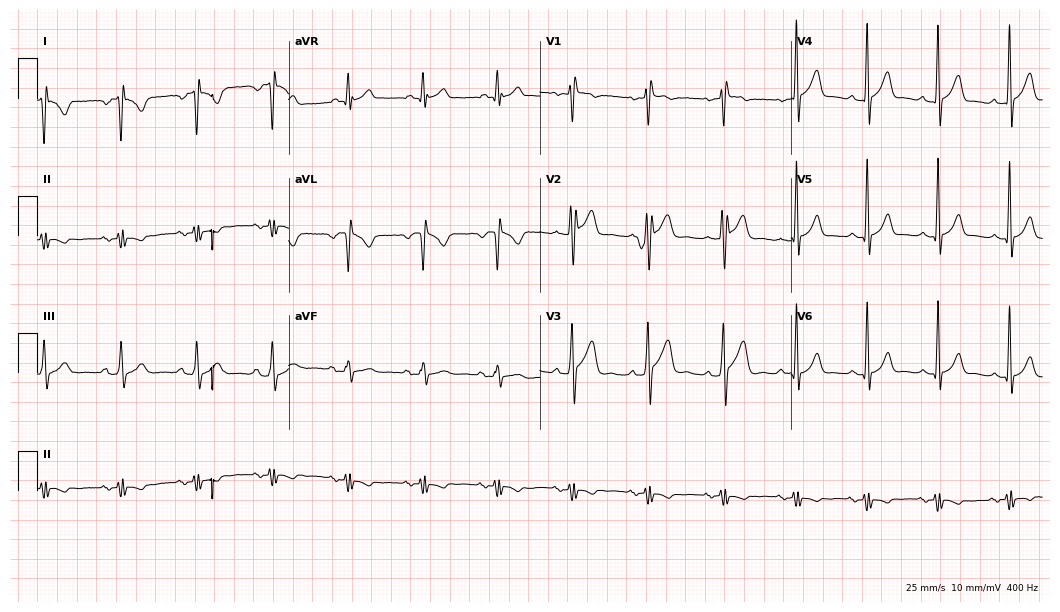
12-lead ECG from a male patient, 32 years old. No first-degree AV block, right bundle branch block, left bundle branch block, sinus bradycardia, atrial fibrillation or sinus tachycardia recorded for this tracing. Only these six findings were labelled.